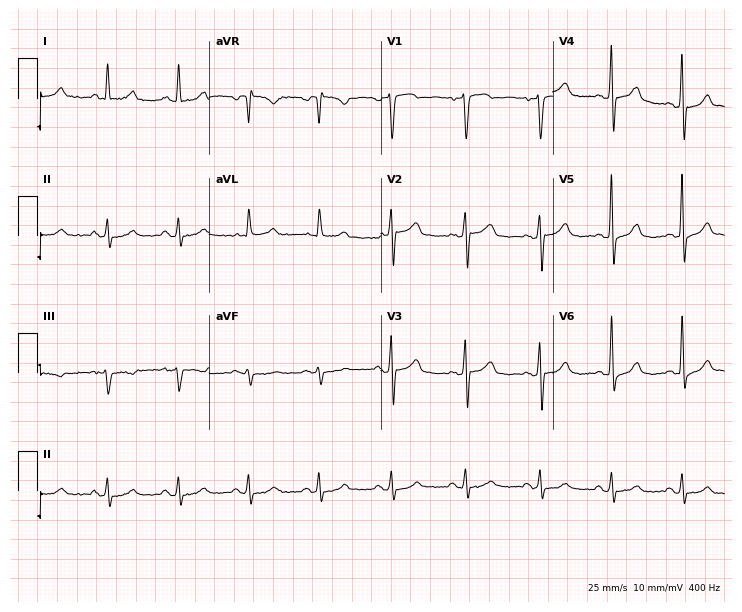
12-lead ECG (7-second recording at 400 Hz) from a 55-year-old female patient. Labelled as a normal ECG.